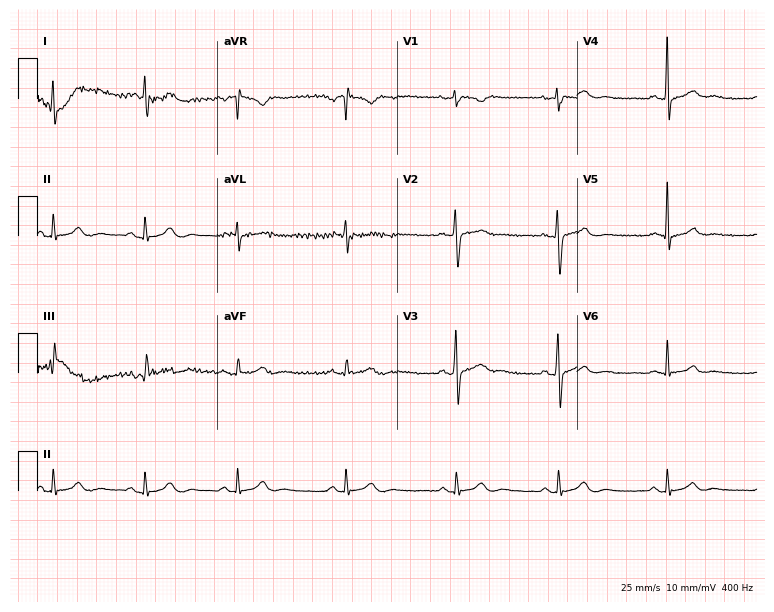
Resting 12-lead electrocardiogram (7.3-second recording at 400 Hz). Patient: a 35-year-old man. None of these six findings is recorded: first-degree AV block, right bundle branch block, left bundle branch block, sinus bradycardia, atrial fibrillation, sinus tachycardia. Only these six findings were labelled.